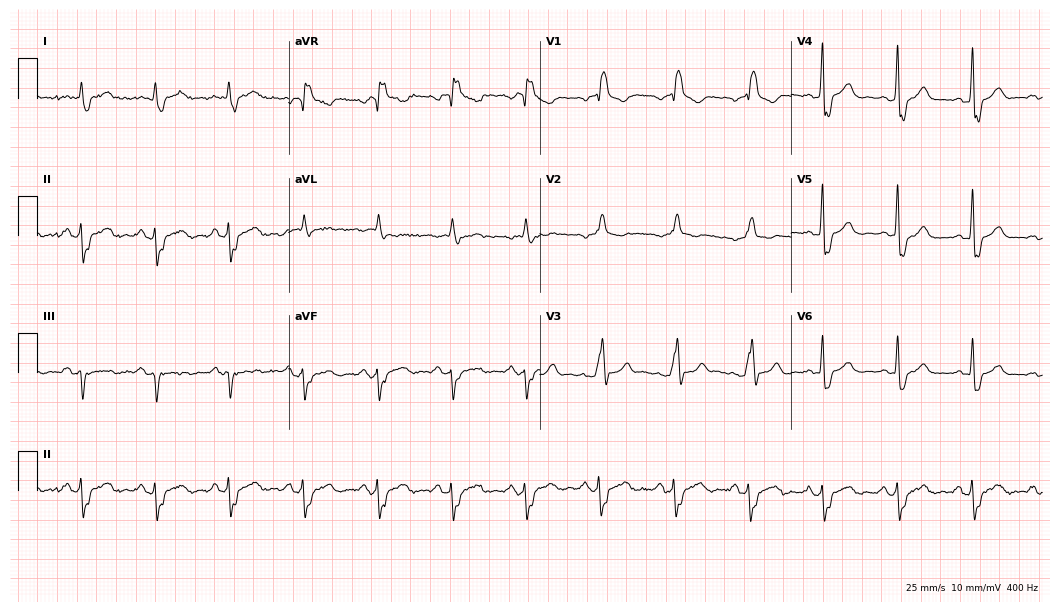
Electrocardiogram (10.2-second recording at 400 Hz), a man, 64 years old. Interpretation includes right bundle branch block (RBBB).